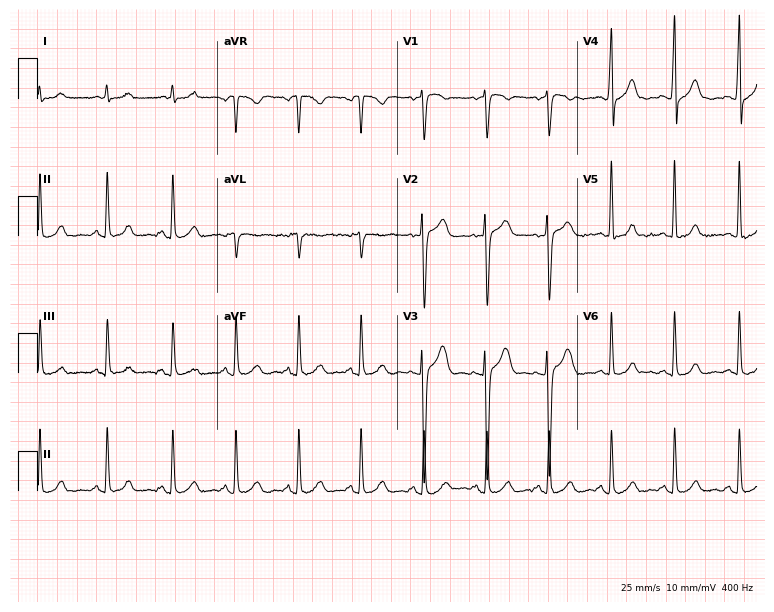
Resting 12-lead electrocardiogram (7.3-second recording at 400 Hz). Patient: a male, 53 years old. Read as a normal ECG.